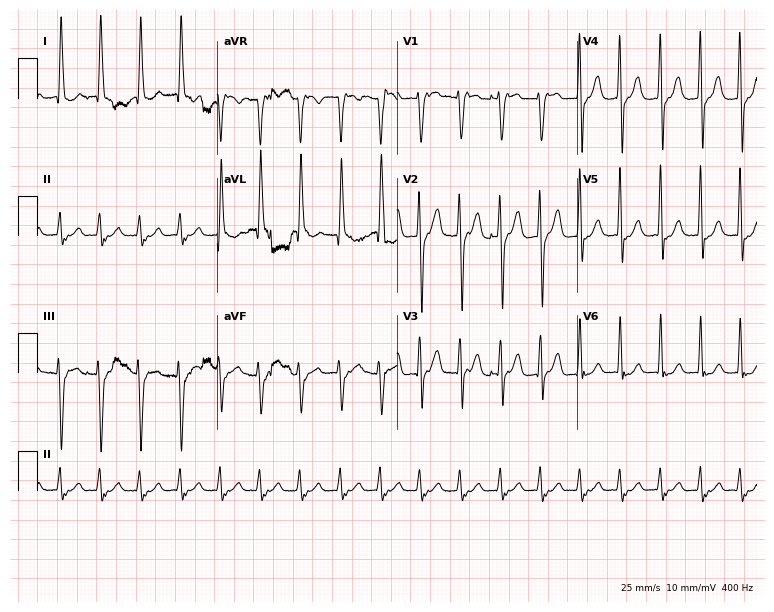
Electrocardiogram (7.3-second recording at 400 Hz), a man, 83 years old. Interpretation includes sinus tachycardia (a sinus rate of 100 beats per minute or more).